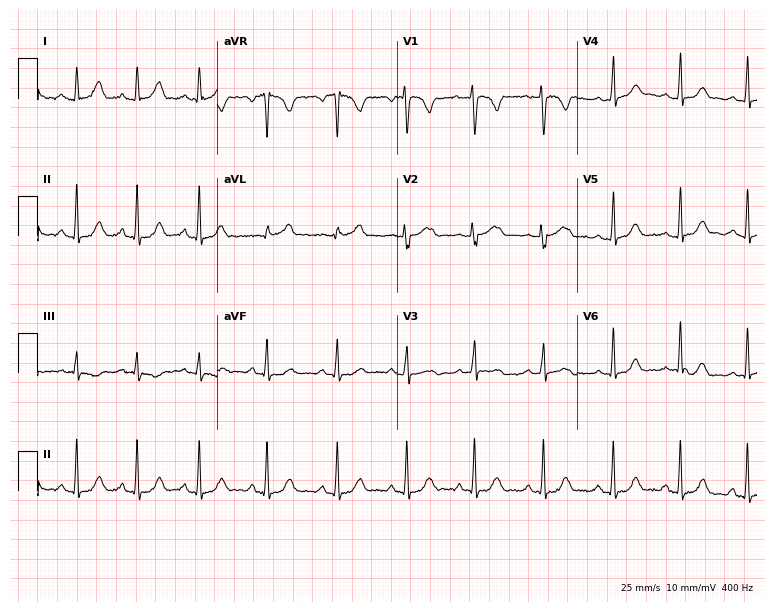
12-lead ECG from a female patient, 24 years old. Recorded interpretation: within normal limits.